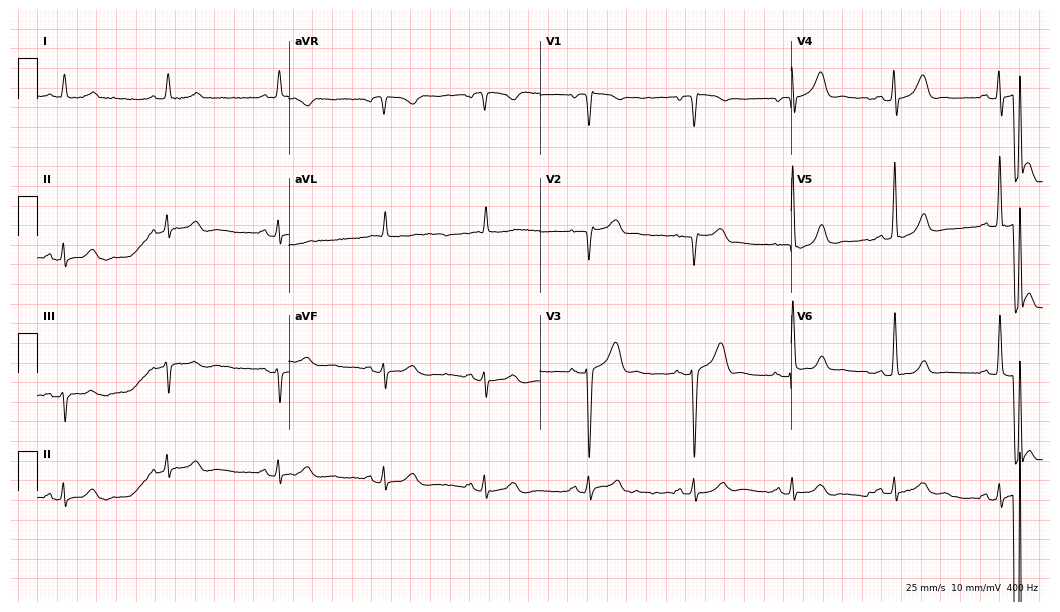
Resting 12-lead electrocardiogram (10.2-second recording at 400 Hz). Patient: a 72-year-old female. None of these six findings is recorded: first-degree AV block, right bundle branch block (RBBB), left bundle branch block (LBBB), sinus bradycardia, atrial fibrillation (AF), sinus tachycardia. Only these six findings were labelled.